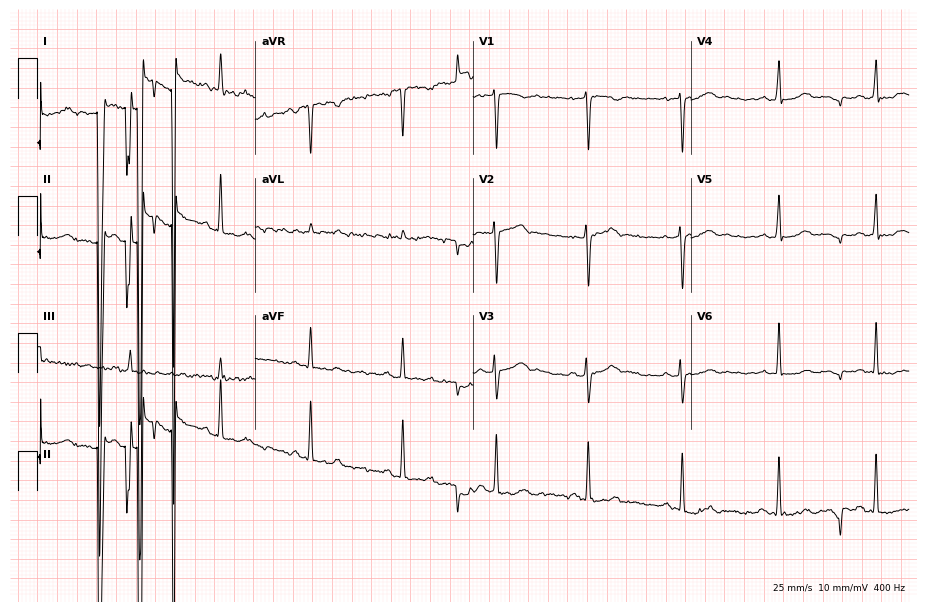
Standard 12-lead ECG recorded from a female patient, 36 years old. None of these six findings is recorded: first-degree AV block, right bundle branch block (RBBB), left bundle branch block (LBBB), sinus bradycardia, atrial fibrillation (AF), sinus tachycardia.